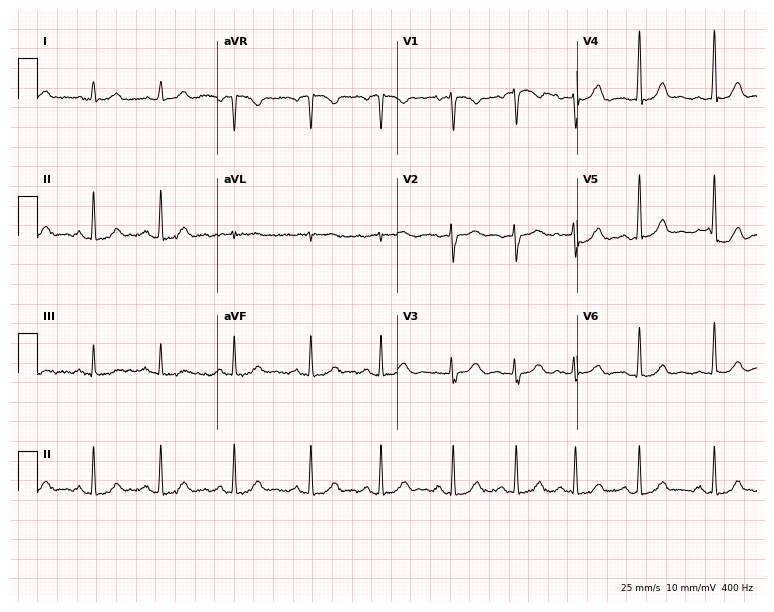
Standard 12-lead ECG recorded from a 32-year-old woman. Read as a normal ECG.